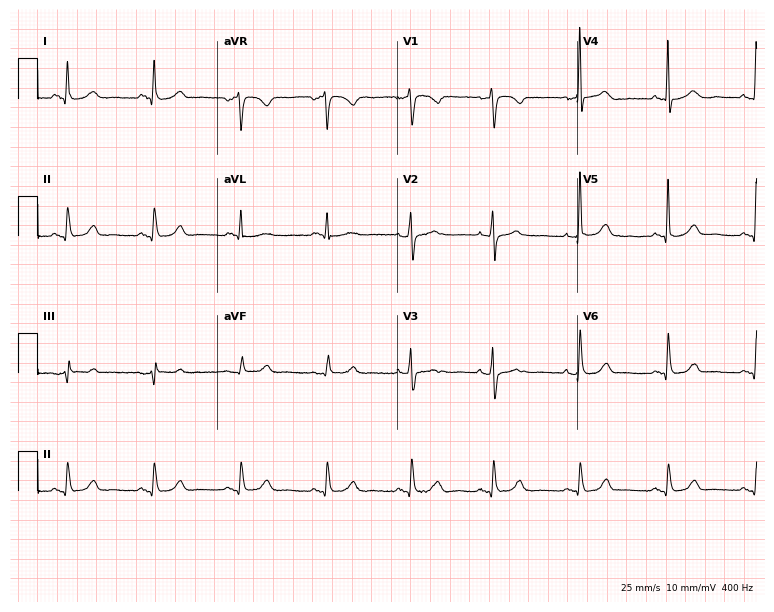
Standard 12-lead ECG recorded from a woman, 75 years old (7.3-second recording at 400 Hz). Read as a normal ECG.